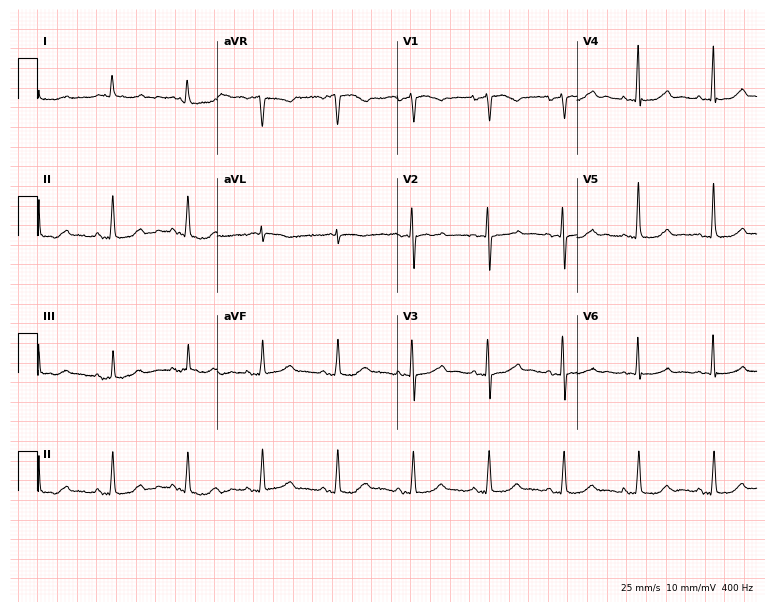
ECG (7.3-second recording at 400 Hz) — a female patient, 71 years old. Labelled as a normal ECG.